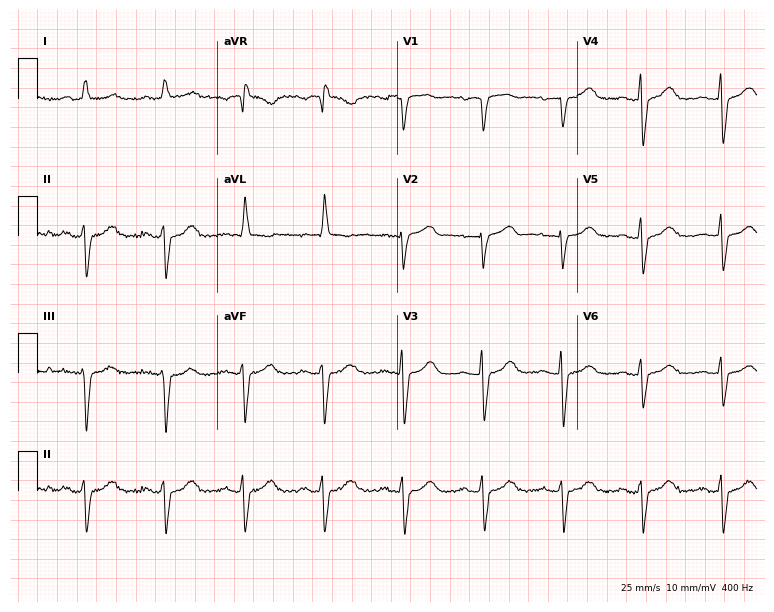
Resting 12-lead electrocardiogram. Patient: a female, 59 years old. The tracing shows left bundle branch block.